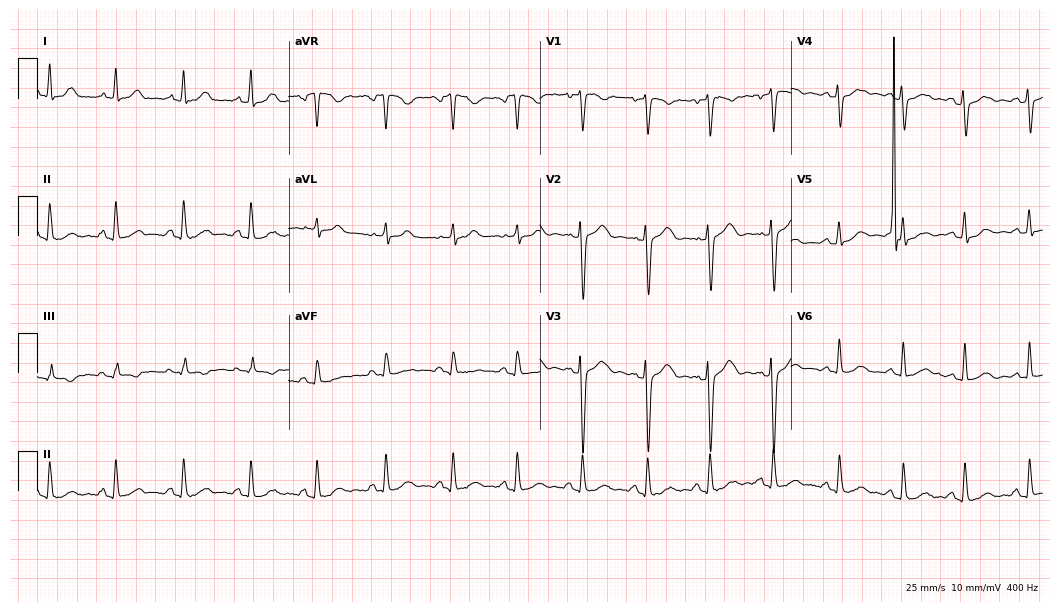
ECG — a female patient, 31 years old. Screened for six findings — first-degree AV block, right bundle branch block, left bundle branch block, sinus bradycardia, atrial fibrillation, sinus tachycardia — none is recorded.